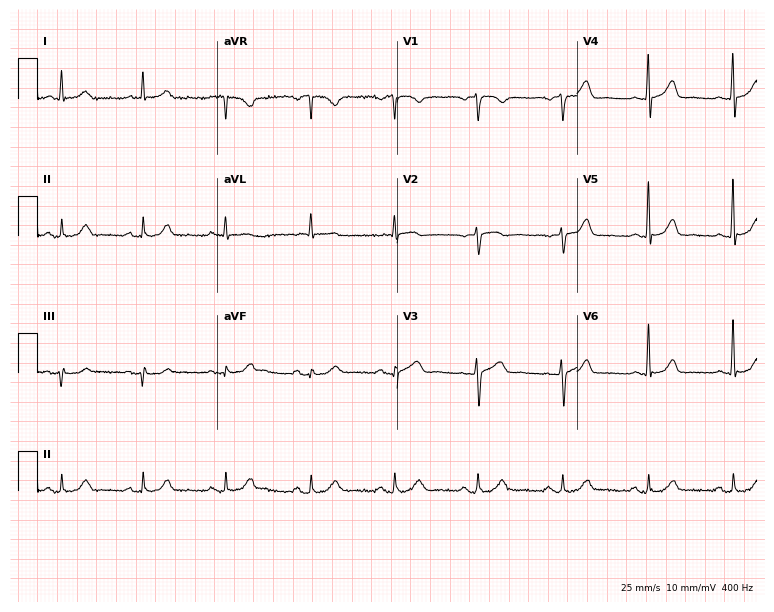
12-lead ECG from a 79-year-old woman. Labelled as a normal ECG.